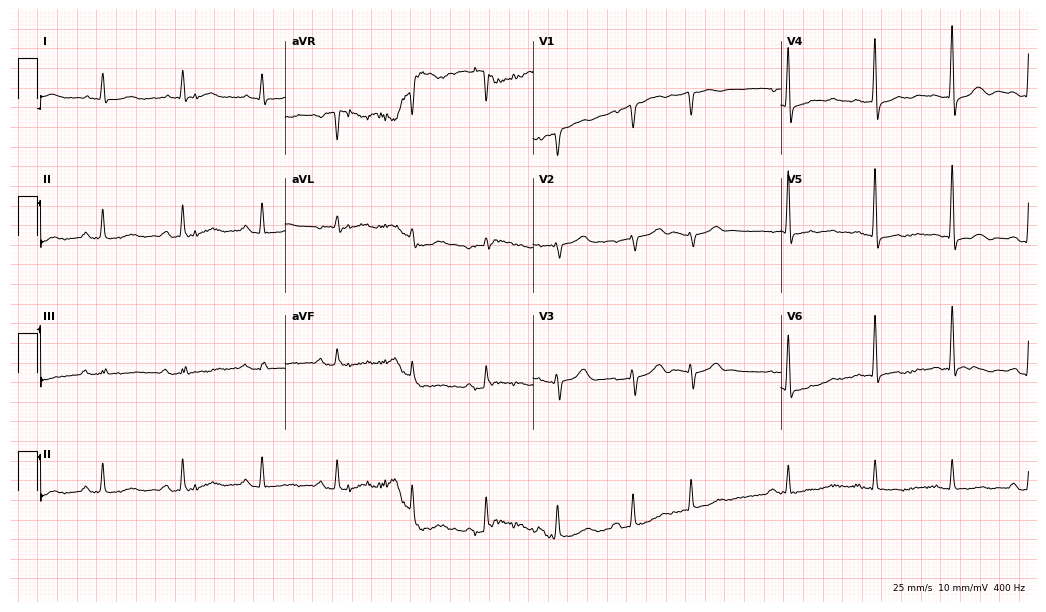
Standard 12-lead ECG recorded from a male, 74 years old (10.1-second recording at 400 Hz). Read as a normal ECG.